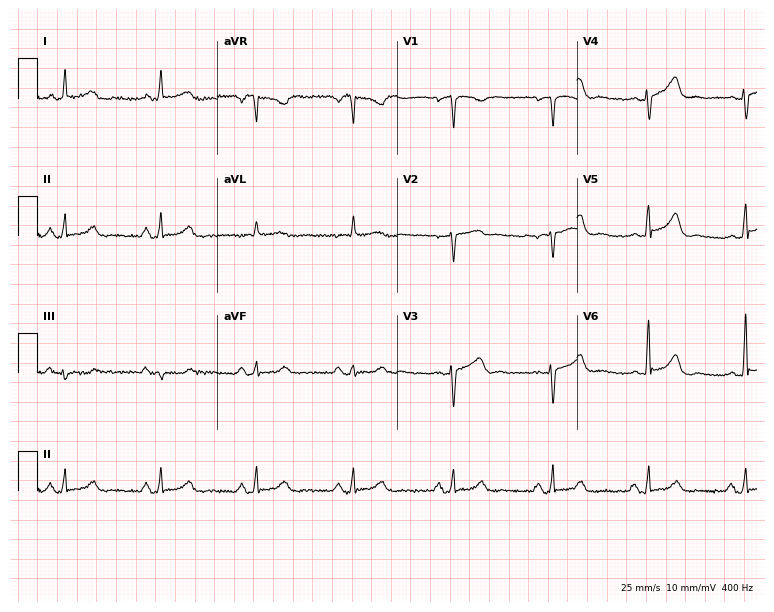
ECG — a female, 48 years old. Screened for six findings — first-degree AV block, right bundle branch block, left bundle branch block, sinus bradycardia, atrial fibrillation, sinus tachycardia — none is recorded.